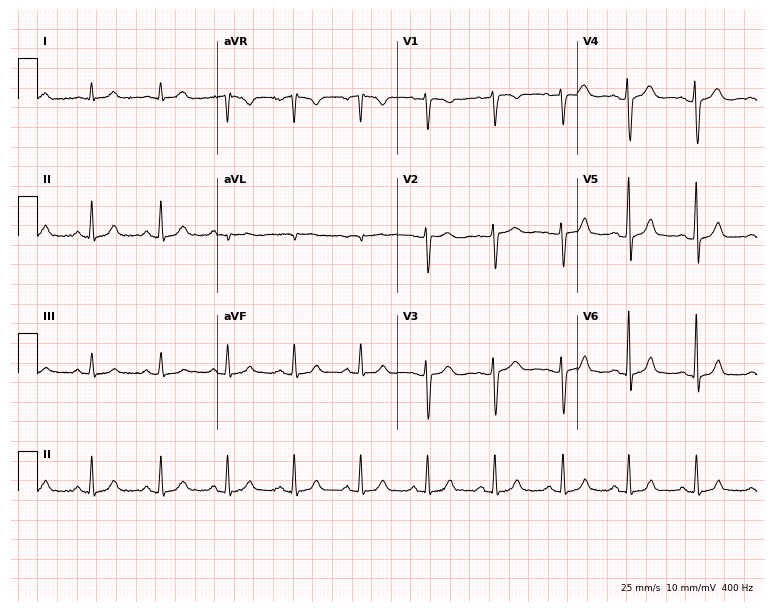
Standard 12-lead ECG recorded from a 34-year-old female patient (7.3-second recording at 400 Hz). None of these six findings is recorded: first-degree AV block, right bundle branch block, left bundle branch block, sinus bradycardia, atrial fibrillation, sinus tachycardia.